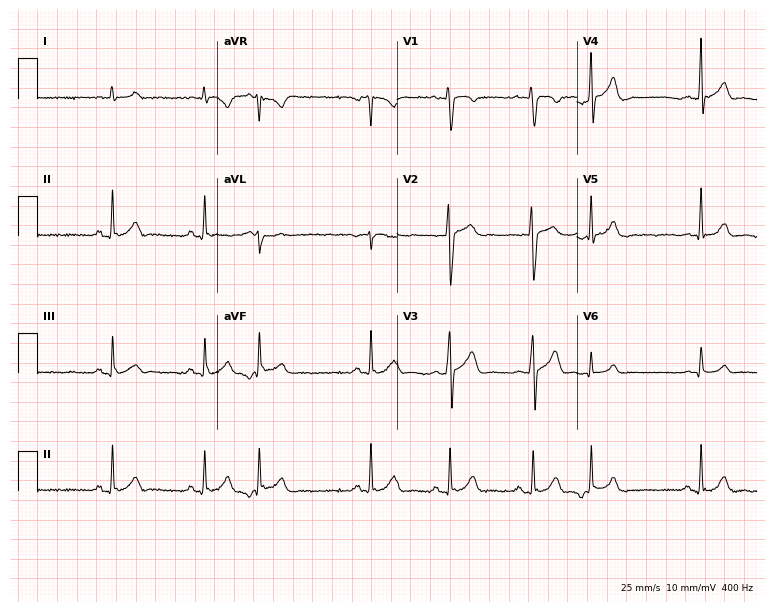
Standard 12-lead ECG recorded from a 21-year-old male patient (7.3-second recording at 400 Hz). None of these six findings is recorded: first-degree AV block, right bundle branch block, left bundle branch block, sinus bradycardia, atrial fibrillation, sinus tachycardia.